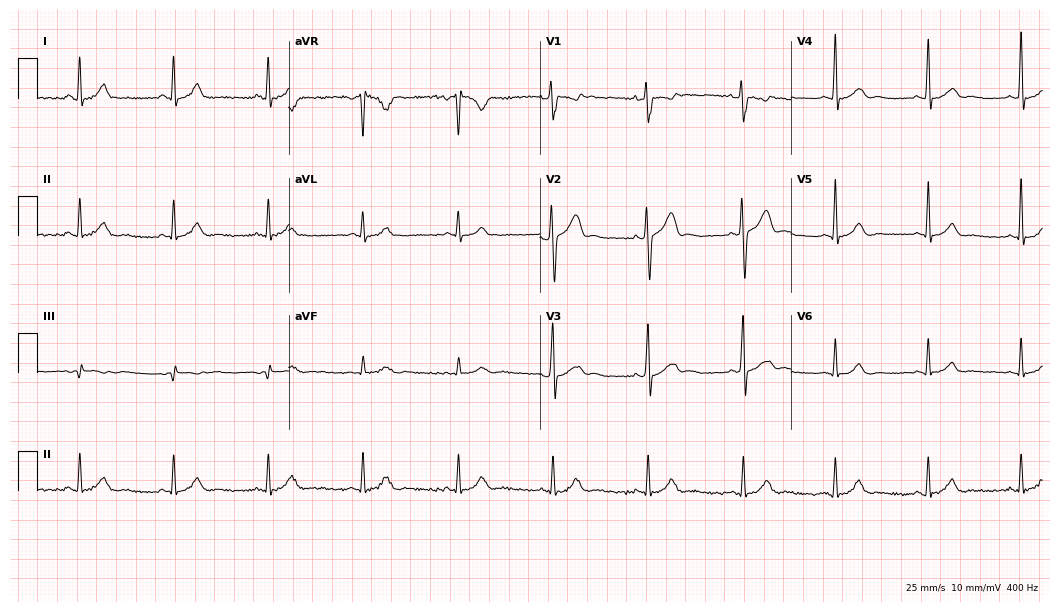
ECG — a 41-year-old male patient. Labelled as a normal ECG.